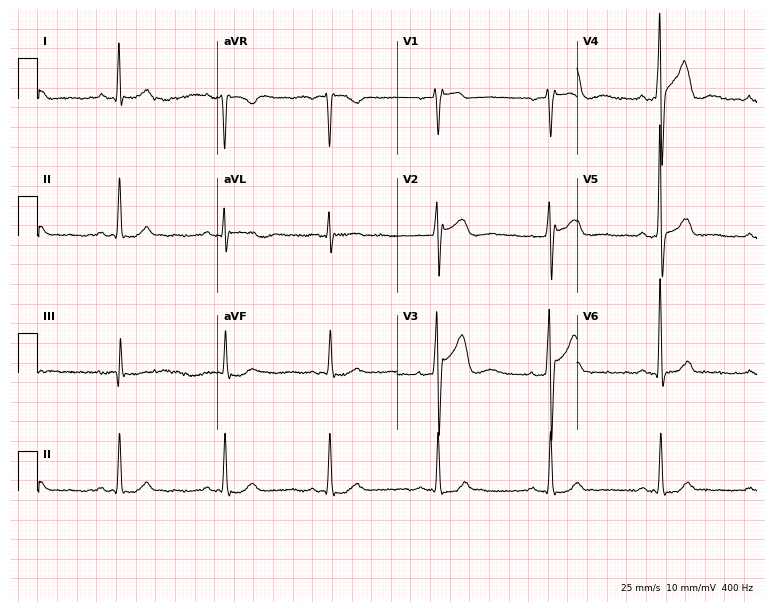
Standard 12-lead ECG recorded from a 57-year-old male patient (7.3-second recording at 400 Hz). None of these six findings is recorded: first-degree AV block, right bundle branch block, left bundle branch block, sinus bradycardia, atrial fibrillation, sinus tachycardia. Other findings, if any, are not listed.